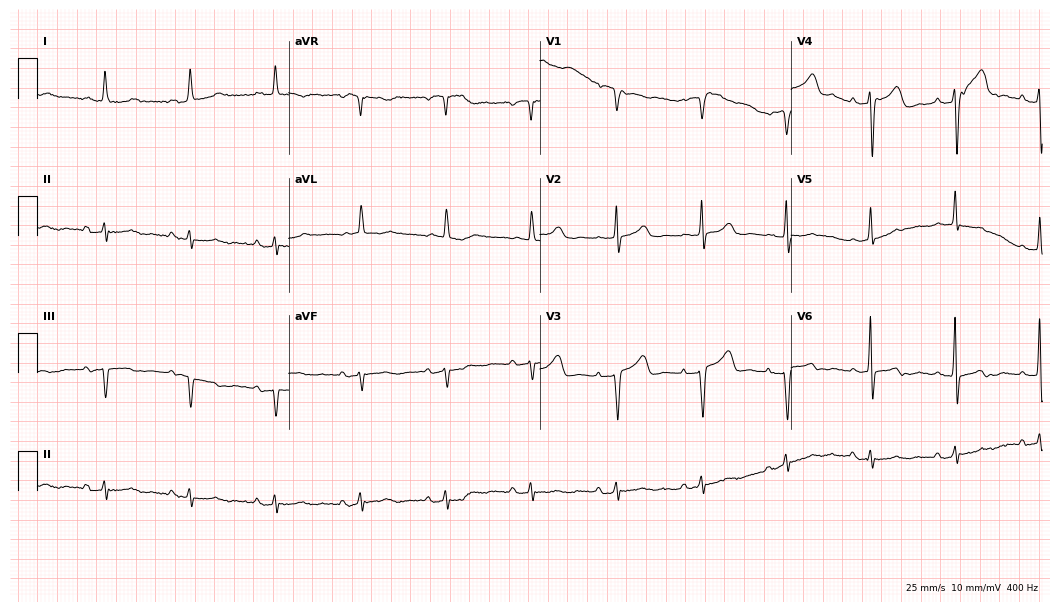
ECG — a 77-year-old woman. Screened for six findings — first-degree AV block, right bundle branch block, left bundle branch block, sinus bradycardia, atrial fibrillation, sinus tachycardia — none is recorded.